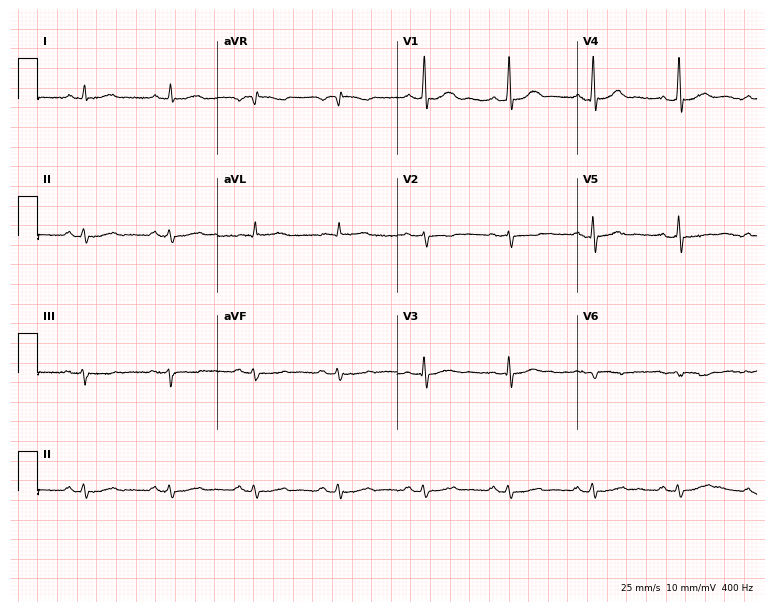
12-lead ECG from an 85-year-old male. Screened for six findings — first-degree AV block, right bundle branch block, left bundle branch block, sinus bradycardia, atrial fibrillation, sinus tachycardia — none is recorded. Other findings, if any, are not listed.